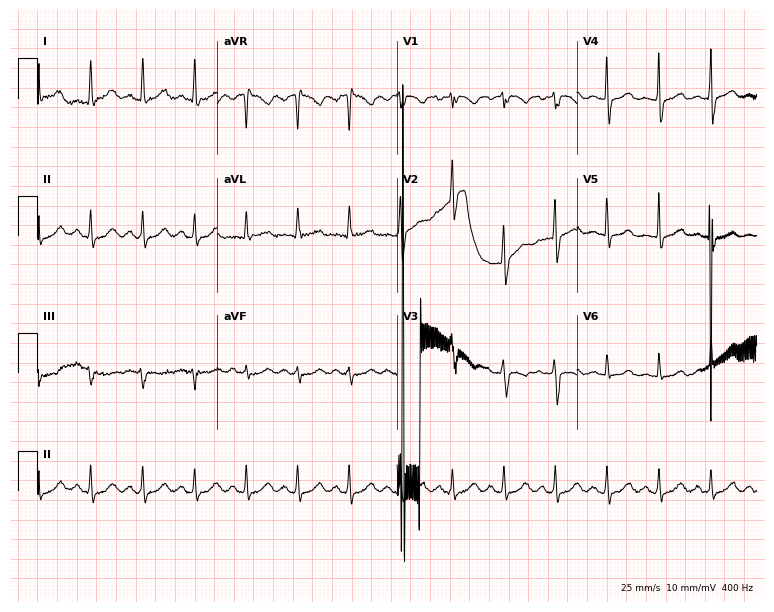
12-lead ECG from a female patient, 39 years old (7.3-second recording at 400 Hz). Shows sinus tachycardia (a sinus rate of 100 beats per minute or more).